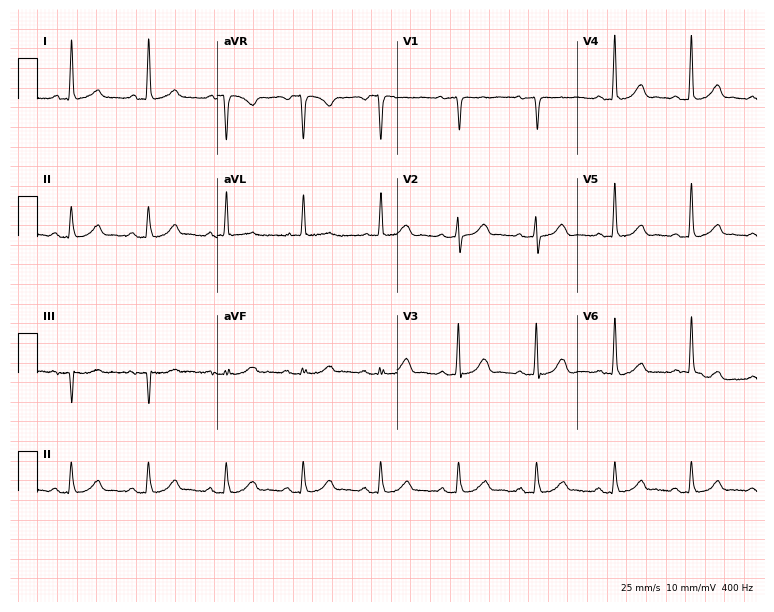
12-lead ECG from a woman, 66 years old (7.3-second recording at 400 Hz). Recorded interpretation: within normal limits.